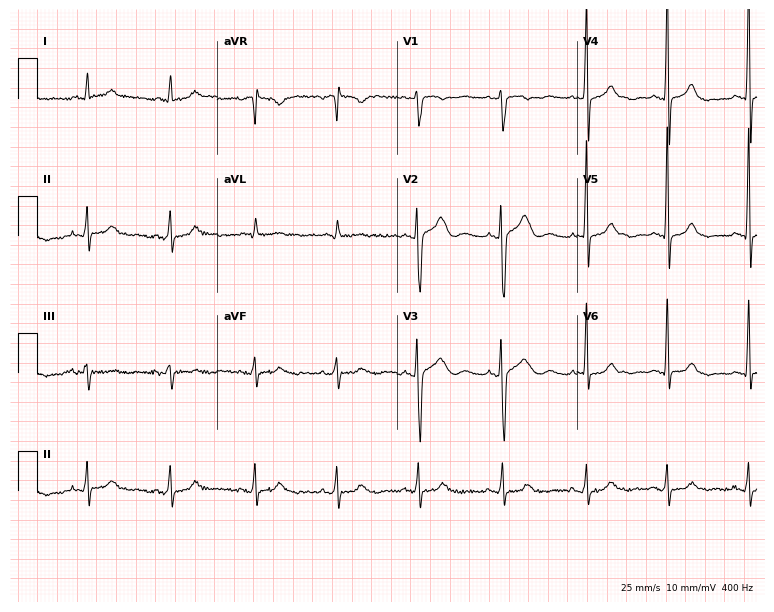
Electrocardiogram (7.3-second recording at 400 Hz), a woman, 40 years old. Overall reading on record: normal ECG.